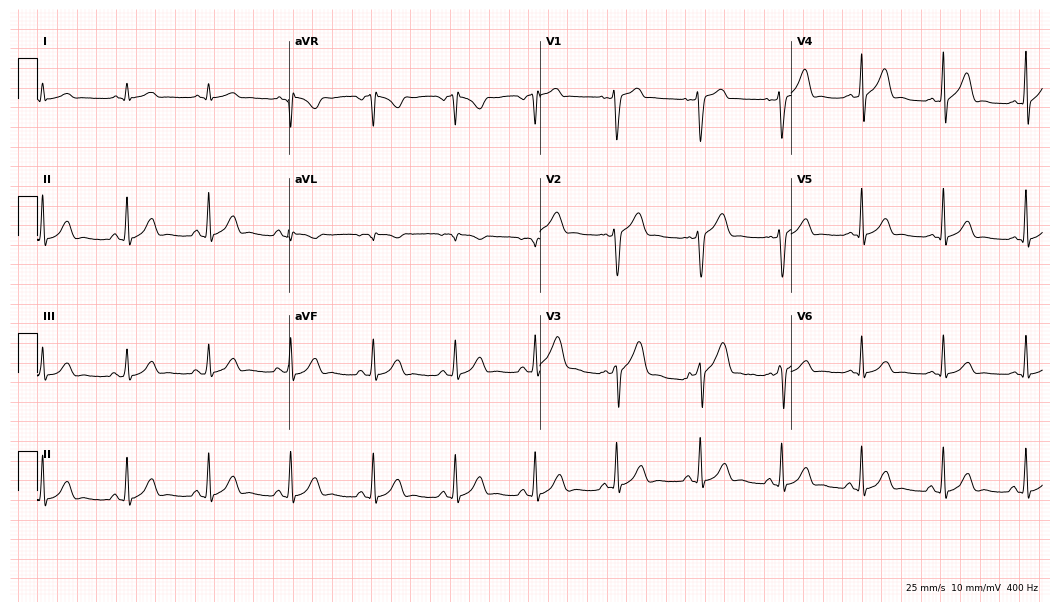
ECG — a 40-year-old male patient. Labelled as a normal ECG.